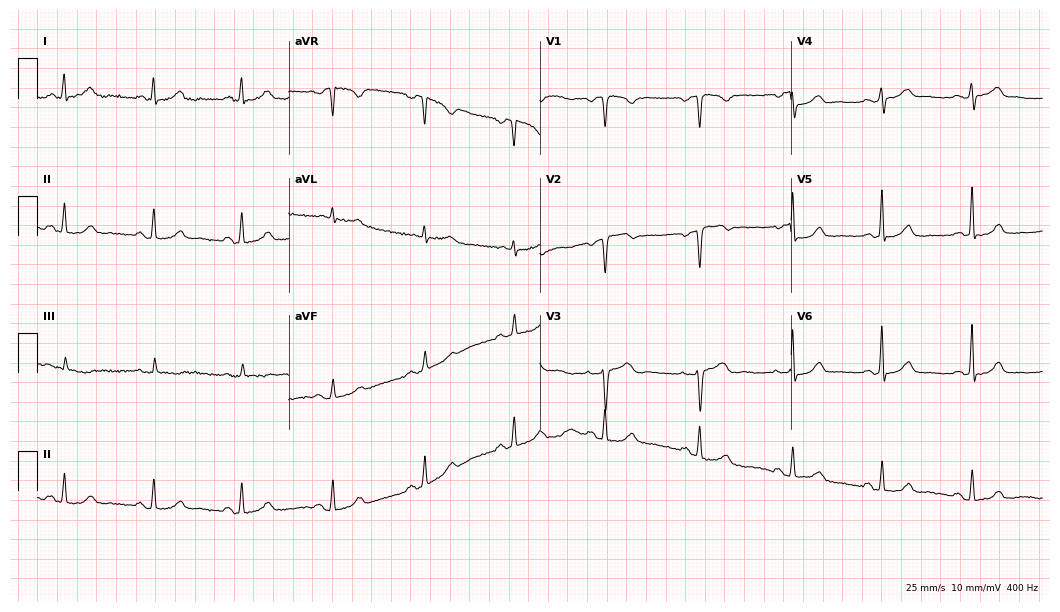
12-lead ECG from a female patient, 51 years old (10.2-second recording at 400 Hz). No first-degree AV block, right bundle branch block, left bundle branch block, sinus bradycardia, atrial fibrillation or sinus tachycardia recorded for this tracing.